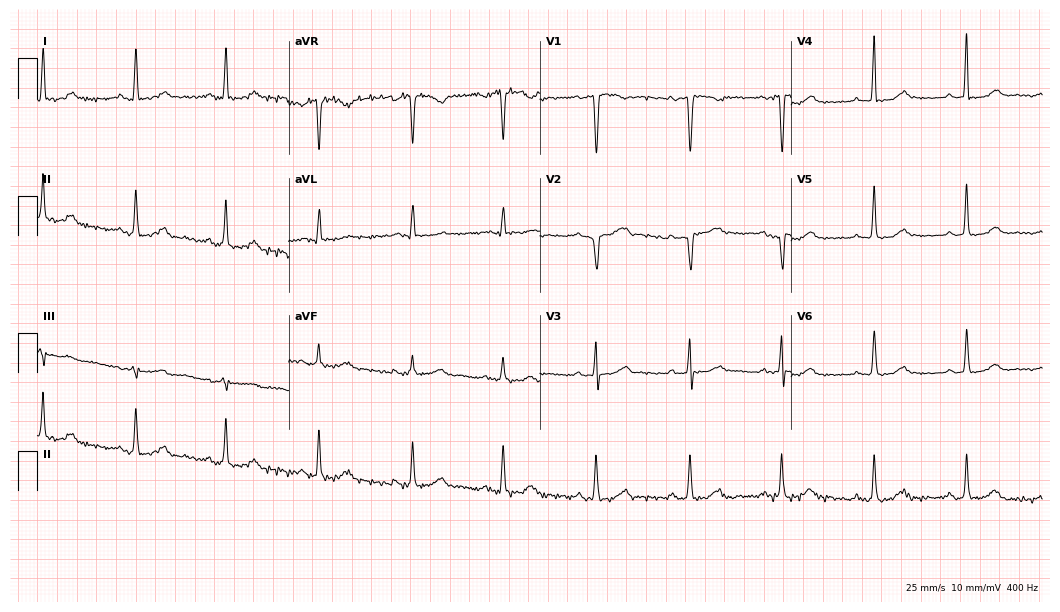
Standard 12-lead ECG recorded from a 63-year-old female (10.2-second recording at 400 Hz). None of these six findings is recorded: first-degree AV block, right bundle branch block, left bundle branch block, sinus bradycardia, atrial fibrillation, sinus tachycardia.